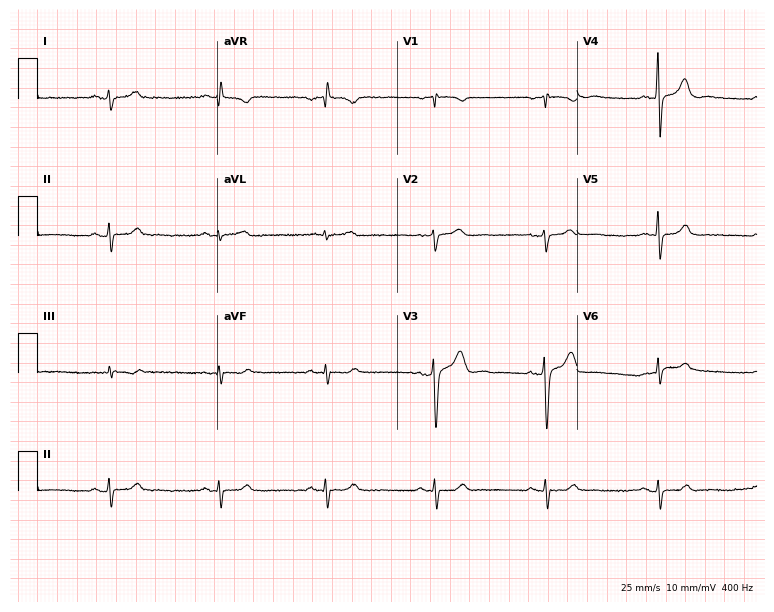
ECG (7.3-second recording at 400 Hz) — a 33-year-old man. Screened for six findings — first-degree AV block, right bundle branch block, left bundle branch block, sinus bradycardia, atrial fibrillation, sinus tachycardia — none is recorded.